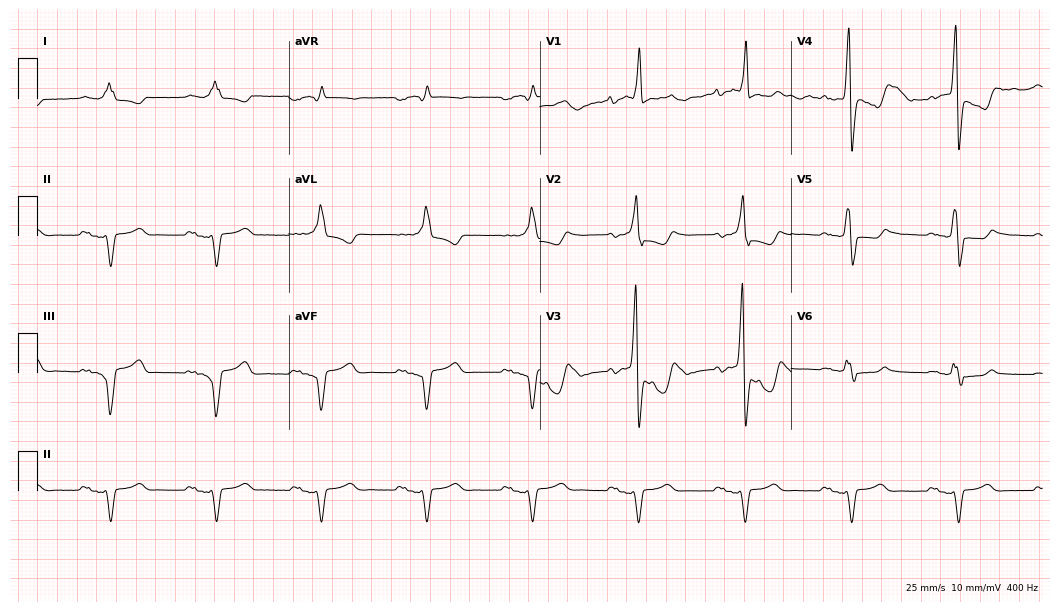
12-lead ECG from an 80-year-old male patient. Screened for six findings — first-degree AV block, right bundle branch block, left bundle branch block, sinus bradycardia, atrial fibrillation, sinus tachycardia — none is recorded. Only these six findings were labelled.